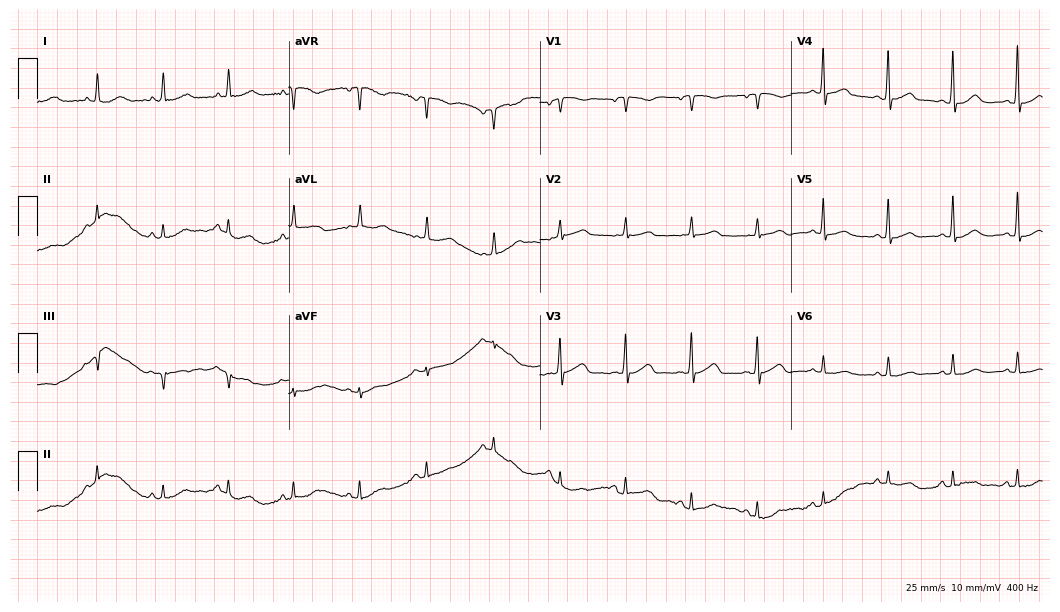
Resting 12-lead electrocardiogram (10.2-second recording at 400 Hz). Patient: a 74-year-old female. None of these six findings is recorded: first-degree AV block, right bundle branch block (RBBB), left bundle branch block (LBBB), sinus bradycardia, atrial fibrillation (AF), sinus tachycardia.